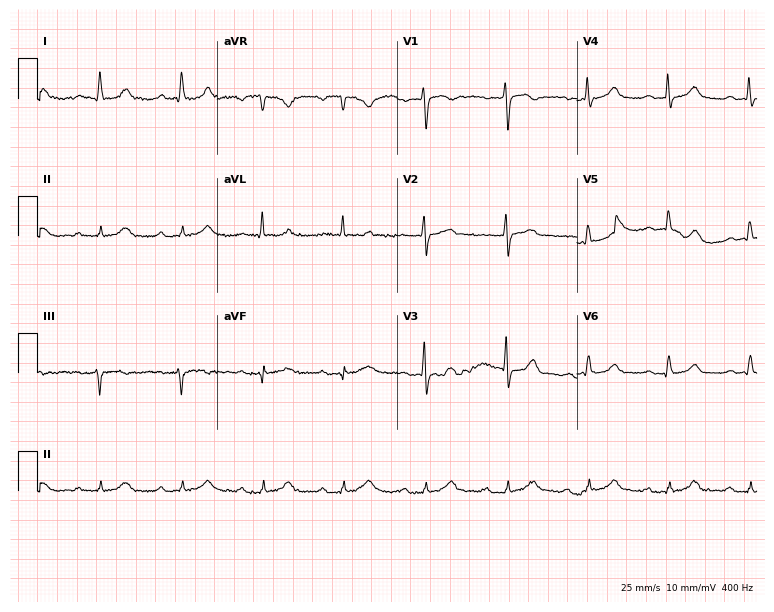
12-lead ECG from a man, 64 years old. Findings include first-degree AV block.